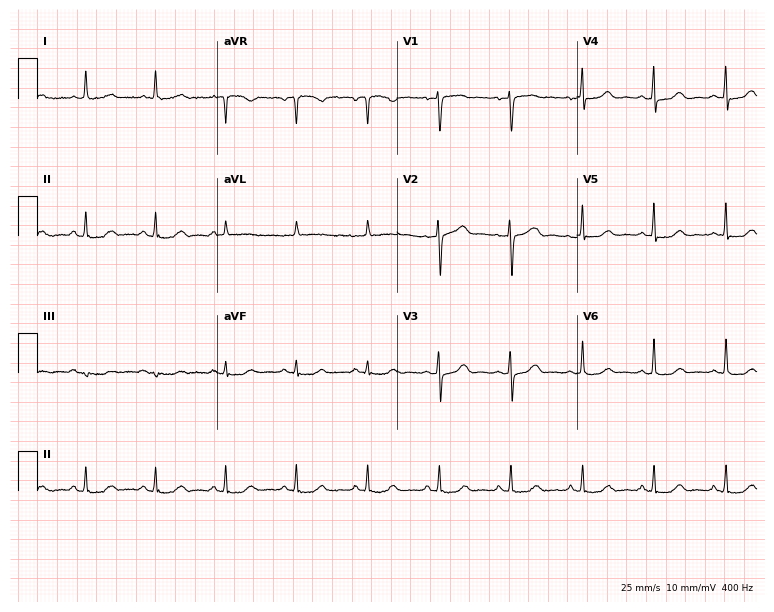
Standard 12-lead ECG recorded from a 57-year-old female patient. Read as a normal ECG.